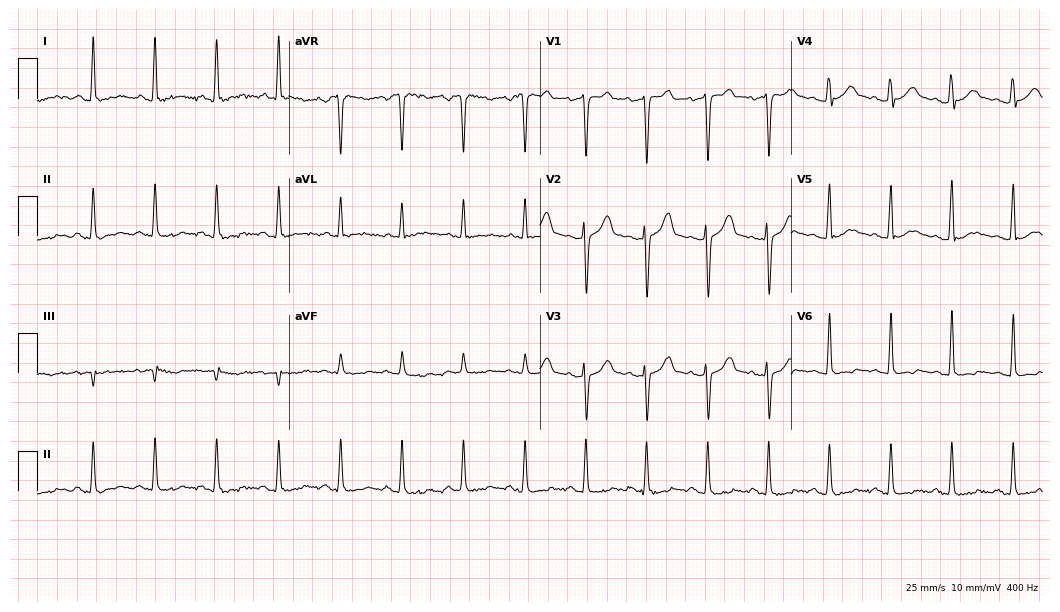
Standard 12-lead ECG recorded from a 49-year-old male patient. None of these six findings is recorded: first-degree AV block, right bundle branch block (RBBB), left bundle branch block (LBBB), sinus bradycardia, atrial fibrillation (AF), sinus tachycardia. Other findings, if any, are not listed.